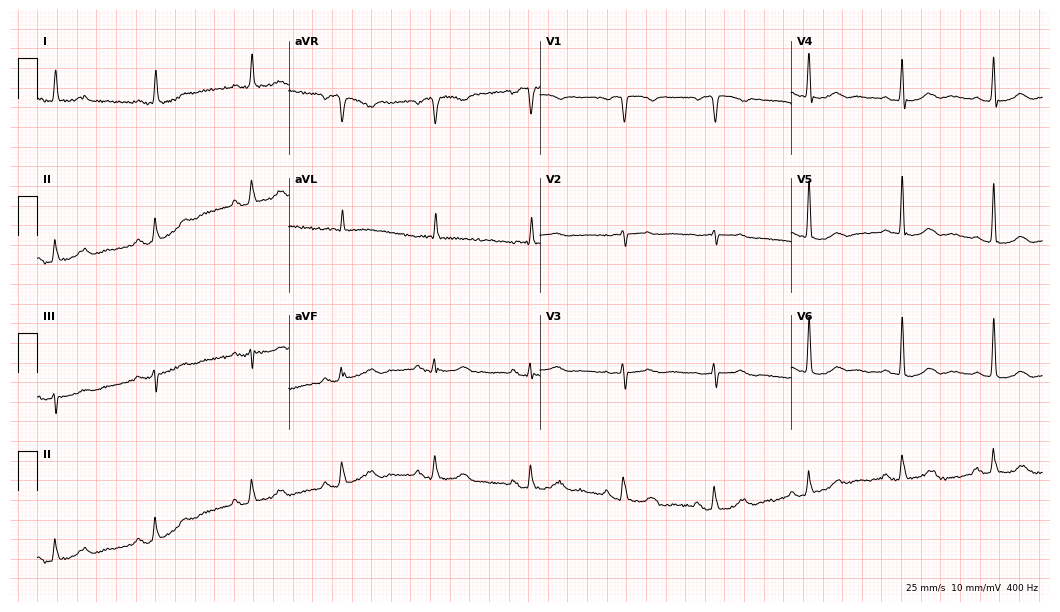
Electrocardiogram (10.2-second recording at 400 Hz), a female patient, 78 years old. Overall reading on record: normal ECG.